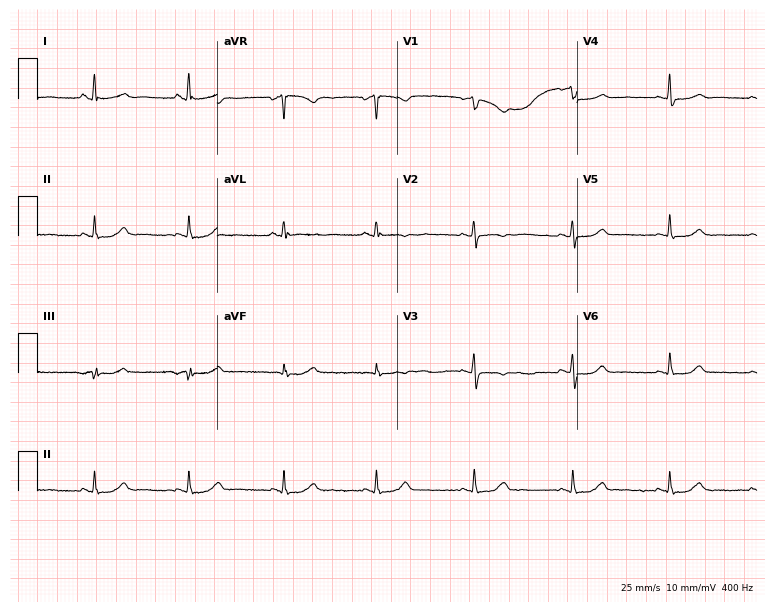
12-lead ECG (7.3-second recording at 400 Hz) from a woman, 45 years old. Labelled as a normal ECG.